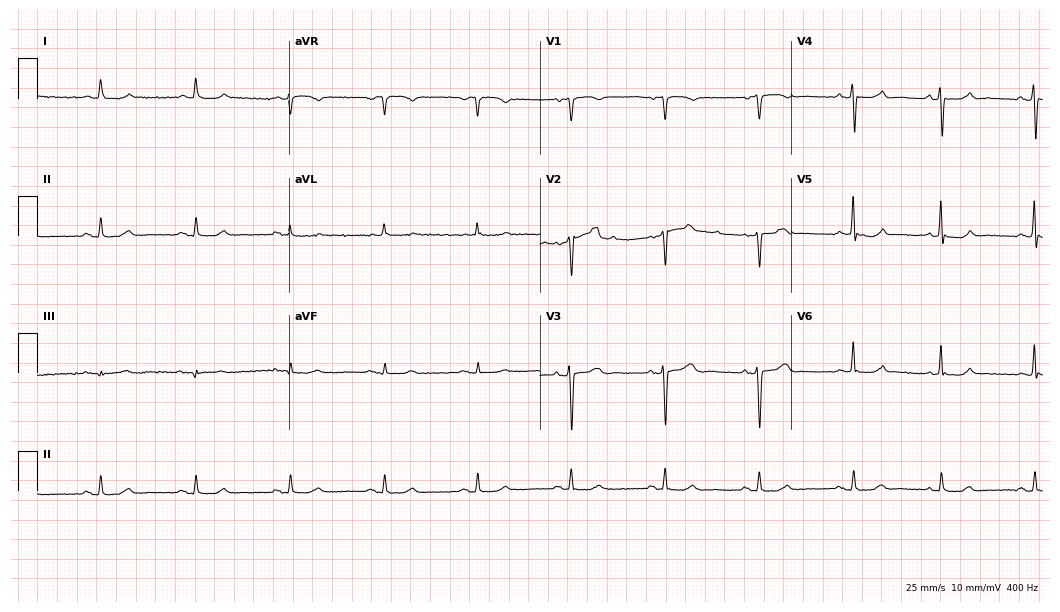
12-lead ECG from a 62-year-old man (10.2-second recording at 400 Hz). No first-degree AV block, right bundle branch block, left bundle branch block, sinus bradycardia, atrial fibrillation or sinus tachycardia recorded for this tracing. Findings outside these six are not listed.